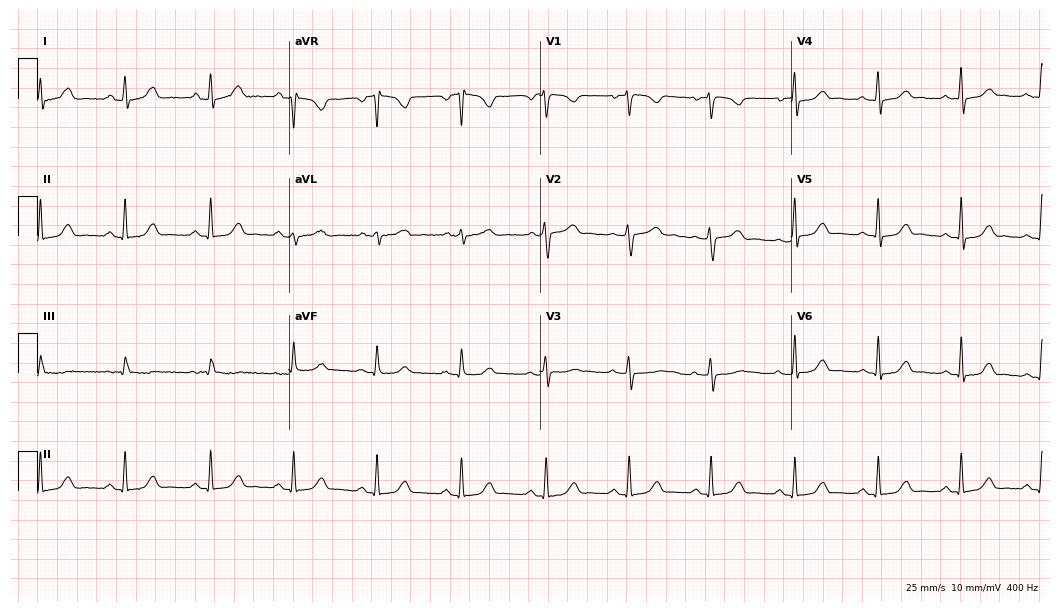
ECG — a female, 44 years old. Labelled as a normal ECG.